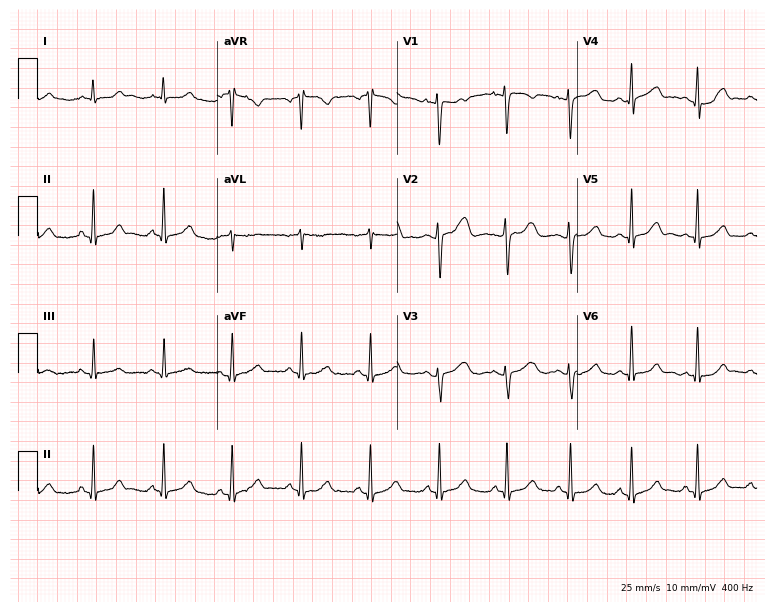
ECG — a 27-year-old female. Screened for six findings — first-degree AV block, right bundle branch block (RBBB), left bundle branch block (LBBB), sinus bradycardia, atrial fibrillation (AF), sinus tachycardia — none is recorded. Only these six findings were labelled.